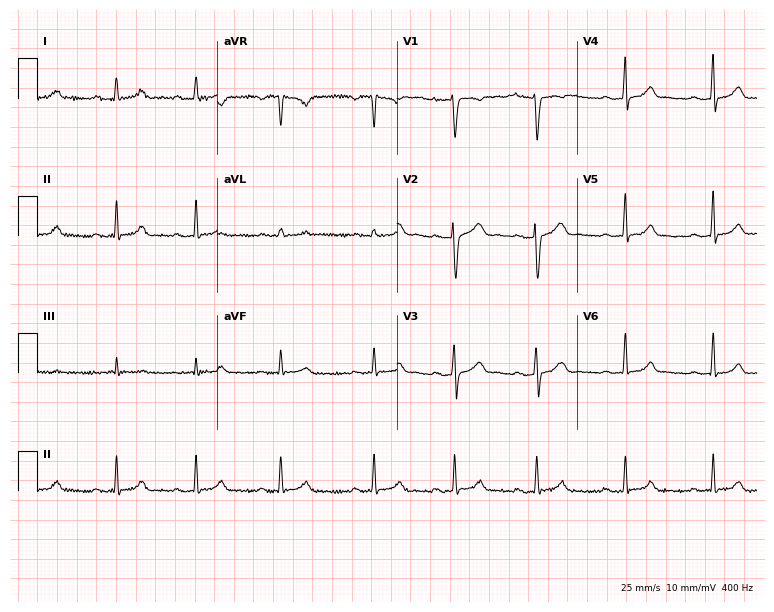
Electrocardiogram (7.3-second recording at 400 Hz), a female, 17 years old. Overall reading on record: normal ECG.